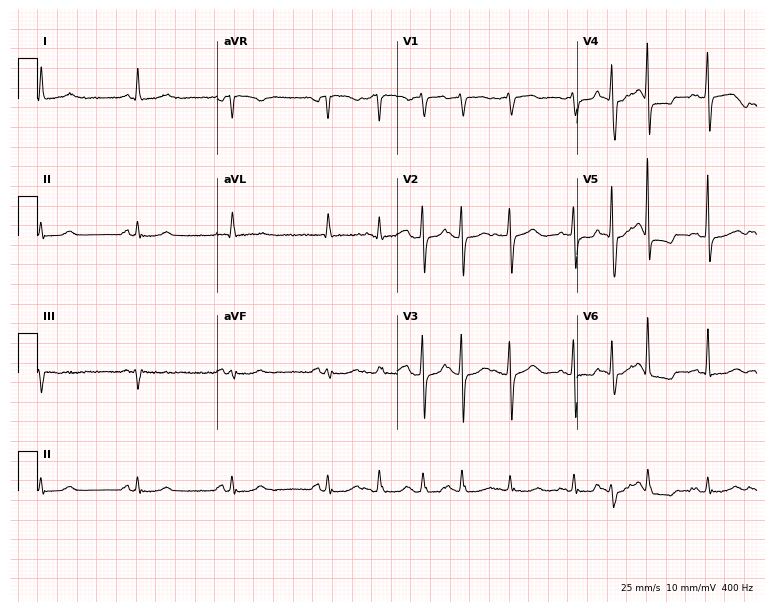
12-lead ECG from a 71-year-old female. Screened for six findings — first-degree AV block, right bundle branch block, left bundle branch block, sinus bradycardia, atrial fibrillation, sinus tachycardia — none is recorded.